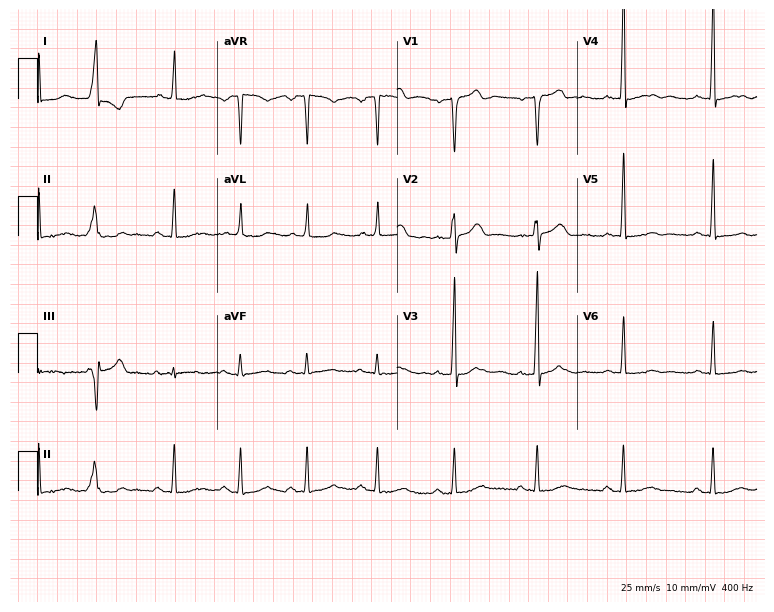
12-lead ECG from a man, 68 years old. Labelled as a normal ECG.